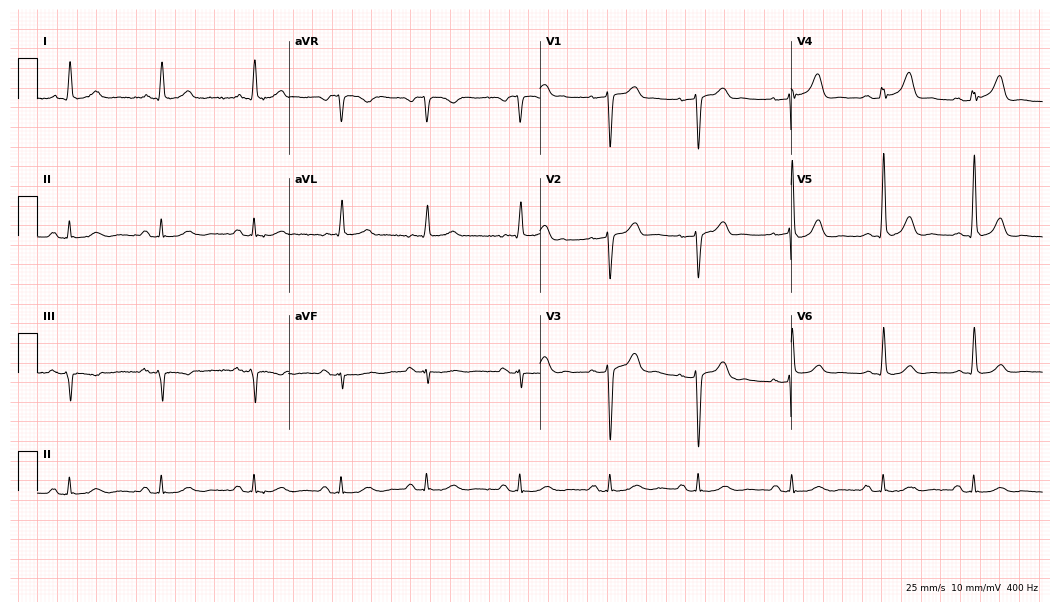
ECG (10.2-second recording at 400 Hz) — a man, 72 years old. Labelled as a normal ECG.